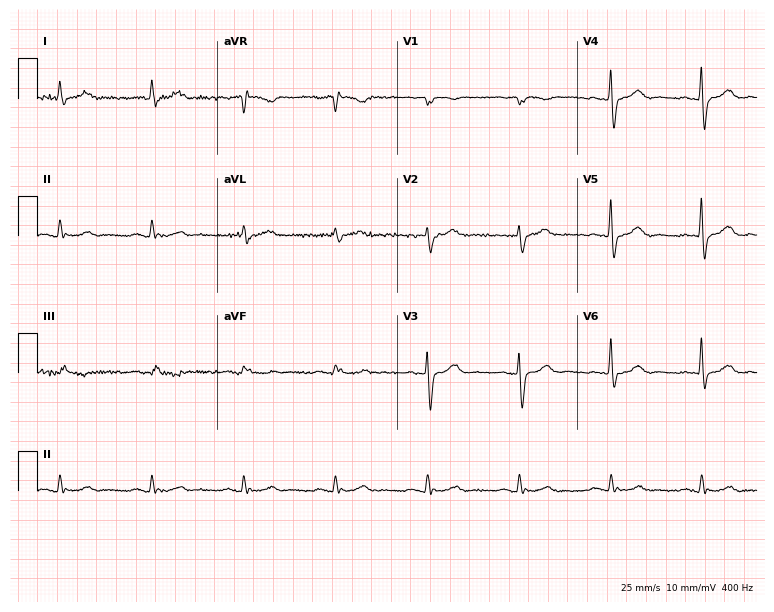
Electrocardiogram (7.3-second recording at 400 Hz), a 71-year-old man. Of the six screened findings (first-degree AV block, right bundle branch block, left bundle branch block, sinus bradycardia, atrial fibrillation, sinus tachycardia), none is recorded. Other findings, if any, are not listed.